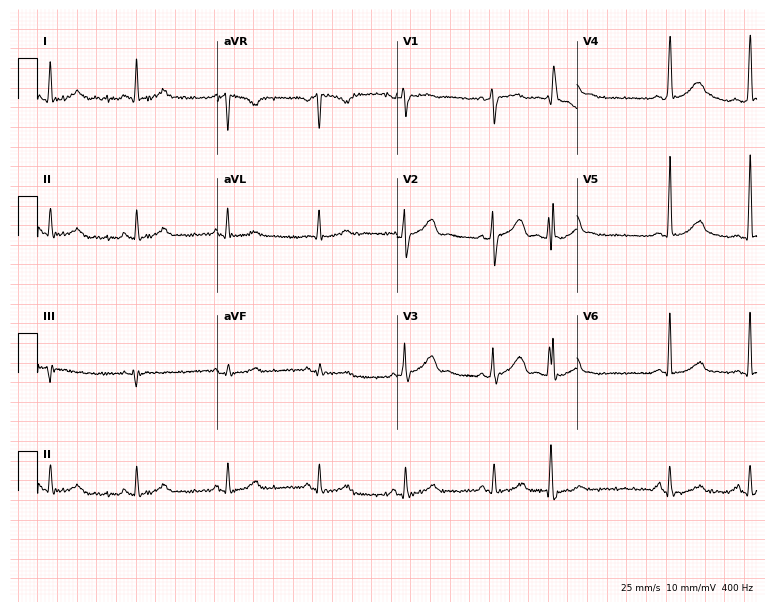
12-lead ECG (7.3-second recording at 400 Hz) from a 33-year-old female patient. Labelled as a normal ECG.